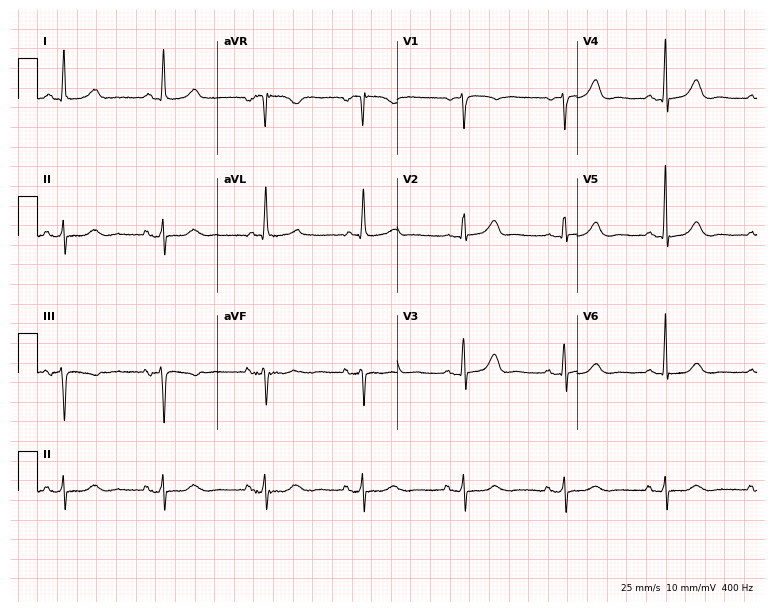
Electrocardiogram (7.3-second recording at 400 Hz), a woman, 81 years old. Of the six screened findings (first-degree AV block, right bundle branch block (RBBB), left bundle branch block (LBBB), sinus bradycardia, atrial fibrillation (AF), sinus tachycardia), none is recorded.